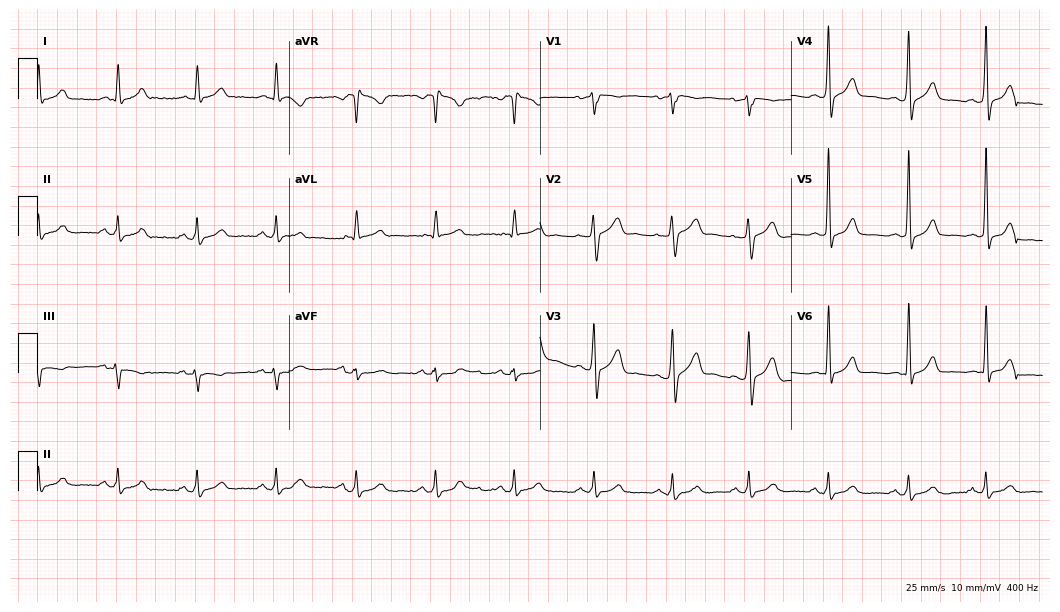
ECG (10.2-second recording at 400 Hz) — a male, 58 years old. Screened for six findings — first-degree AV block, right bundle branch block (RBBB), left bundle branch block (LBBB), sinus bradycardia, atrial fibrillation (AF), sinus tachycardia — none is recorded.